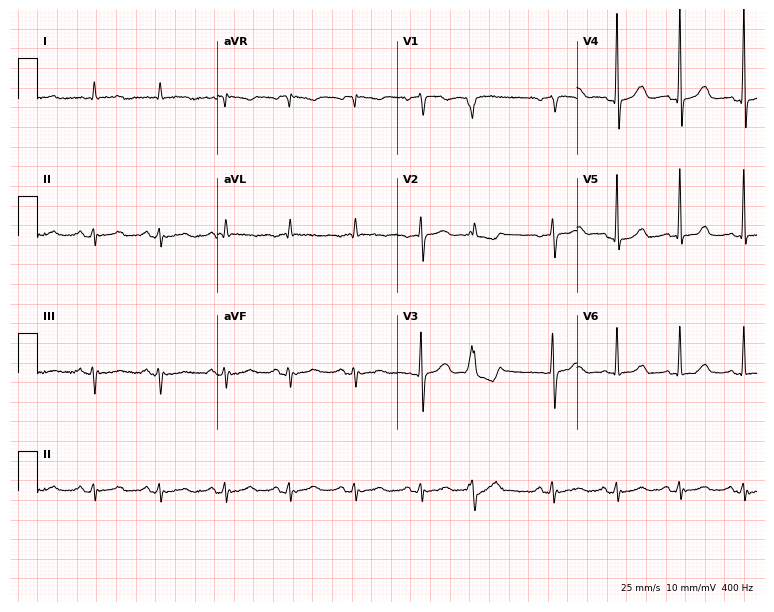
Standard 12-lead ECG recorded from a 76-year-old female patient (7.3-second recording at 400 Hz). Read as a normal ECG.